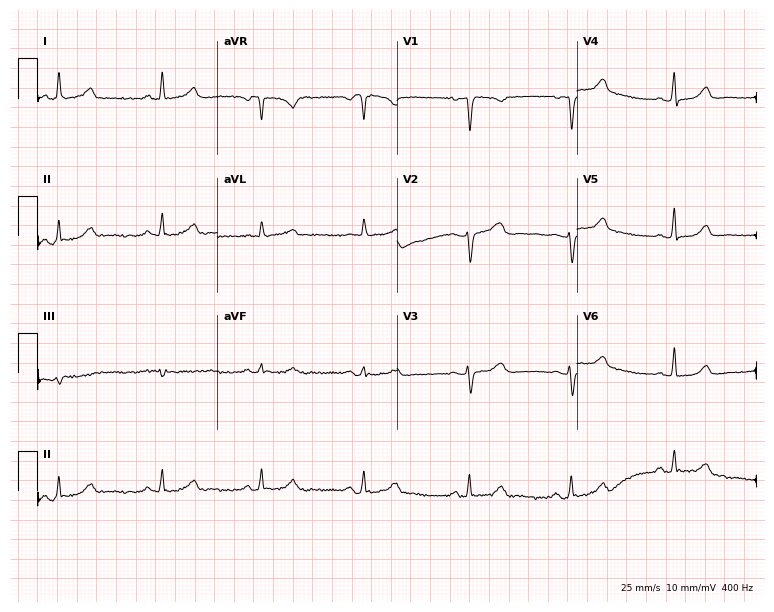
12-lead ECG from a 43-year-old woman. No first-degree AV block, right bundle branch block, left bundle branch block, sinus bradycardia, atrial fibrillation or sinus tachycardia recorded for this tracing.